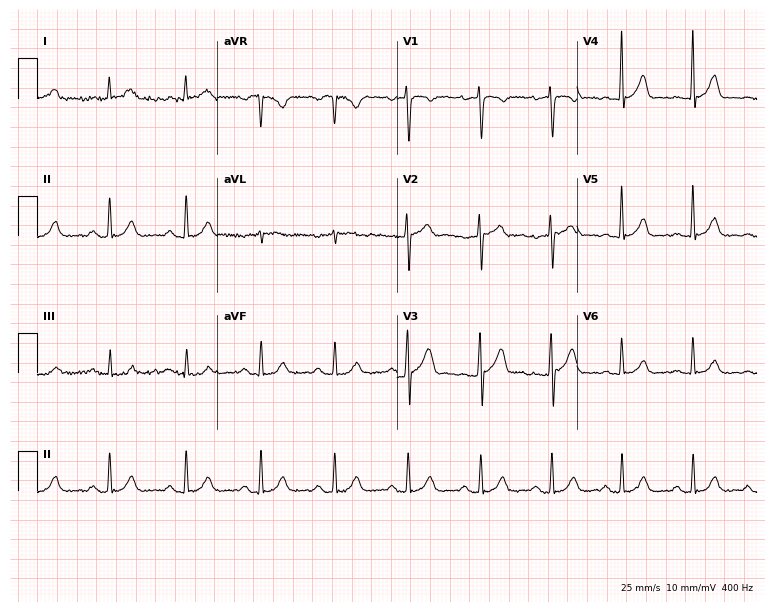
12-lead ECG from a man, 58 years old. Recorded interpretation: within normal limits.